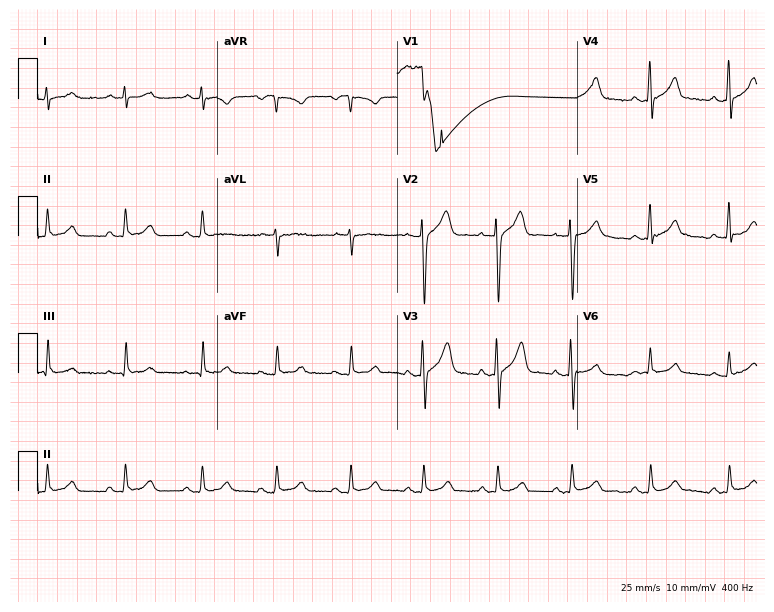
ECG (7.3-second recording at 400 Hz) — a 42-year-old man. Labelled as a normal ECG.